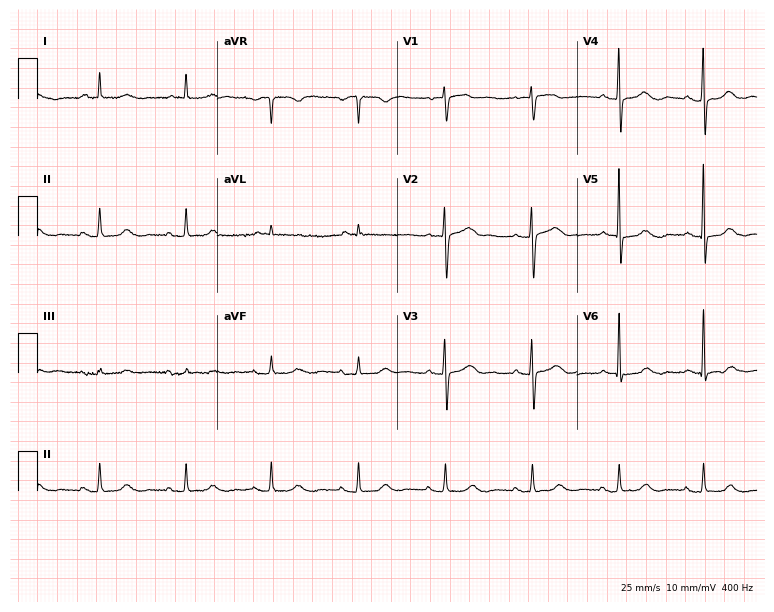
Standard 12-lead ECG recorded from a 78-year-old woman (7.3-second recording at 400 Hz). Read as a normal ECG.